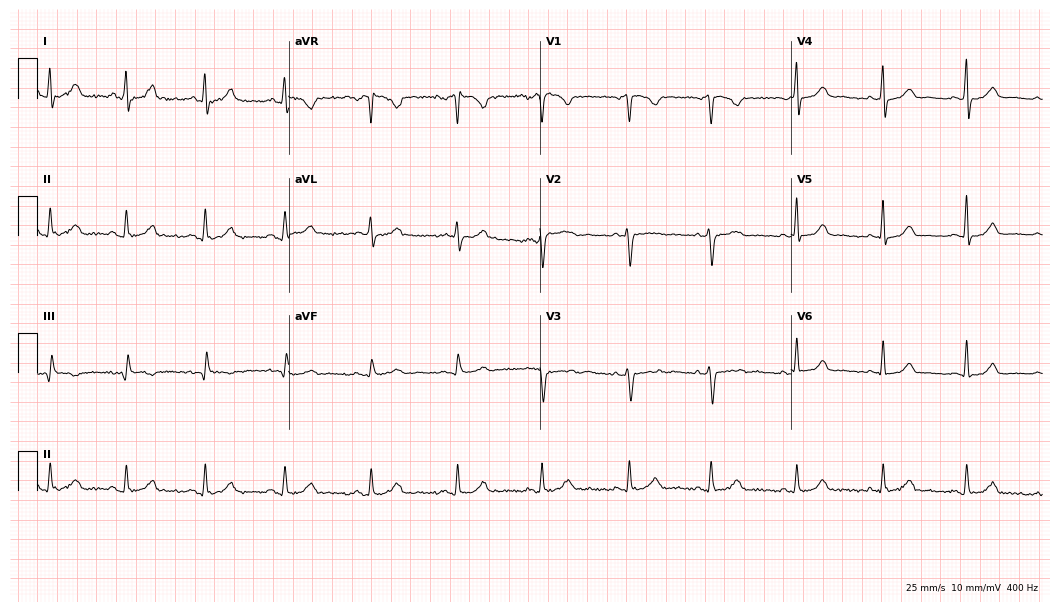
12-lead ECG from a female, 46 years old. Recorded interpretation: within normal limits.